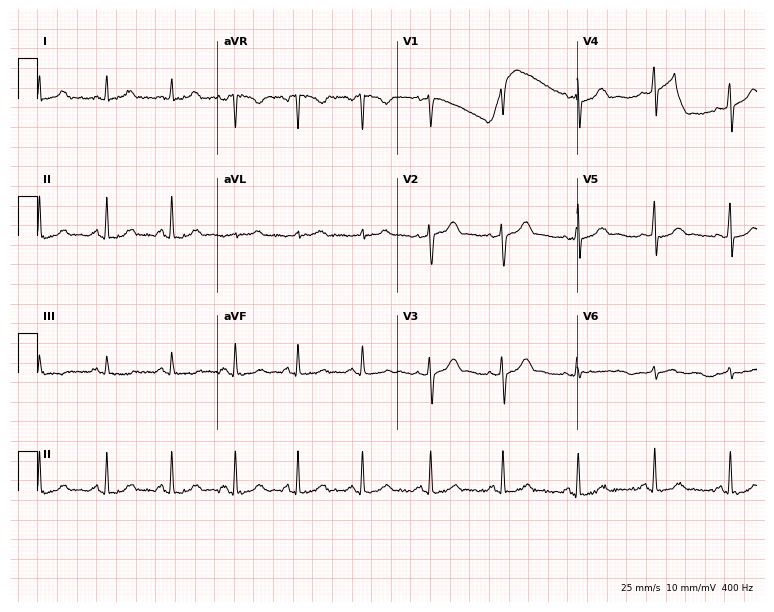
ECG — a woman, 40 years old. Labelled as a normal ECG.